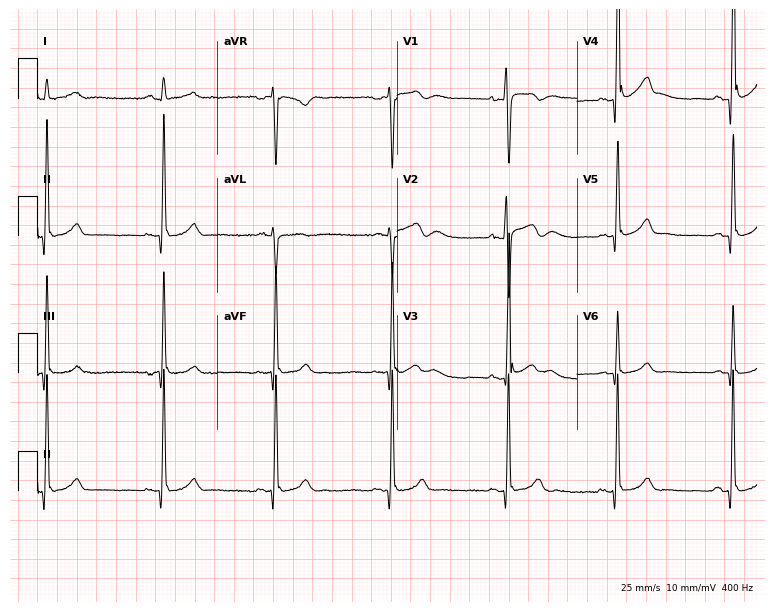
12-lead ECG from a 23-year-old woman. No first-degree AV block, right bundle branch block, left bundle branch block, sinus bradycardia, atrial fibrillation or sinus tachycardia recorded for this tracing.